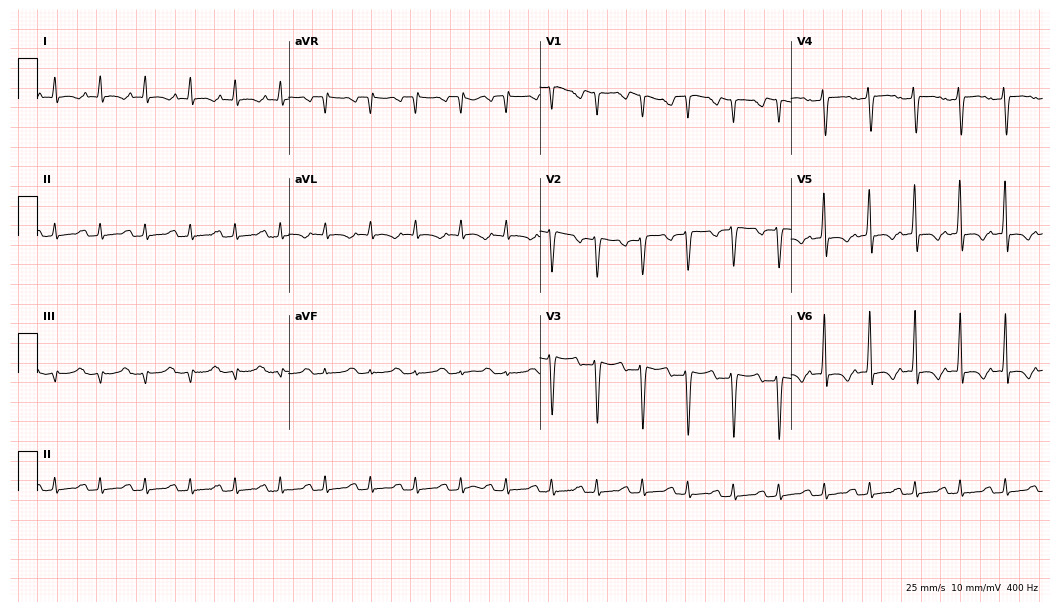
12-lead ECG from a 61-year-old male patient (10.2-second recording at 400 Hz). No first-degree AV block, right bundle branch block (RBBB), left bundle branch block (LBBB), sinus bradycardia, atrial fibrillation (AF) or sinus tachycardia recorded for this tracing. Only these six findings were labelled.